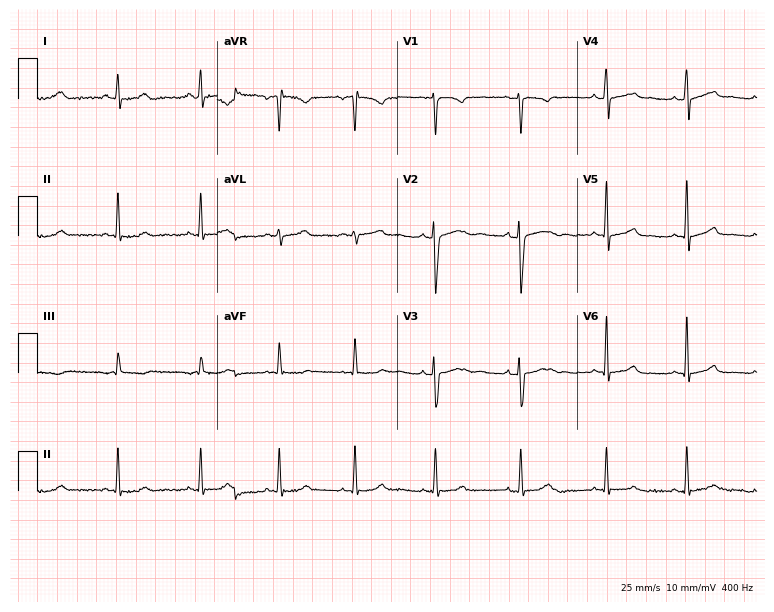
Standard 12-lead ECG recorded from a 32-year-old female. None of these six findings is recorded: first-degree AV block, right bundle branch block (RBBB), left bundle branch block (LBBB), sinus bradycardia, atrial fibrillation (AF), sinus tachycardia. Other findings, if any, are not listed.